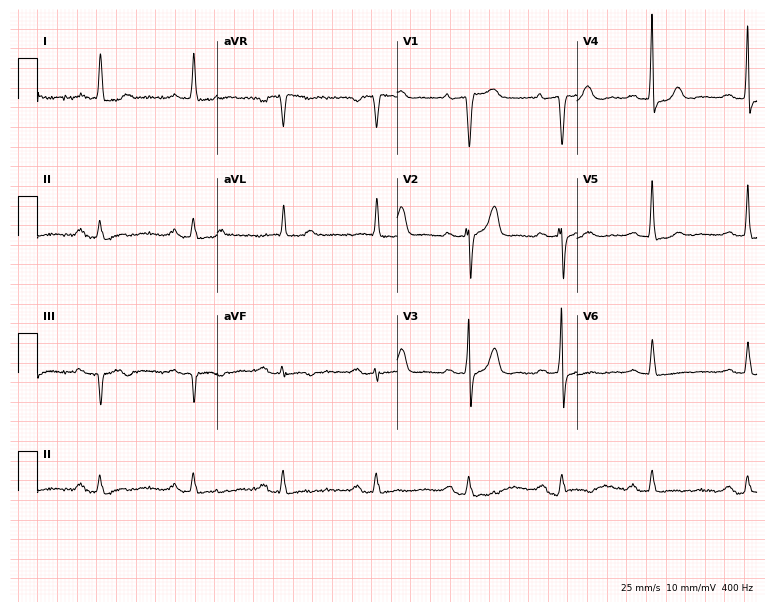
Resting 12-lead electrocardiogram. Patient: a female, 80 years old. The tracing shows first-degree AV block.